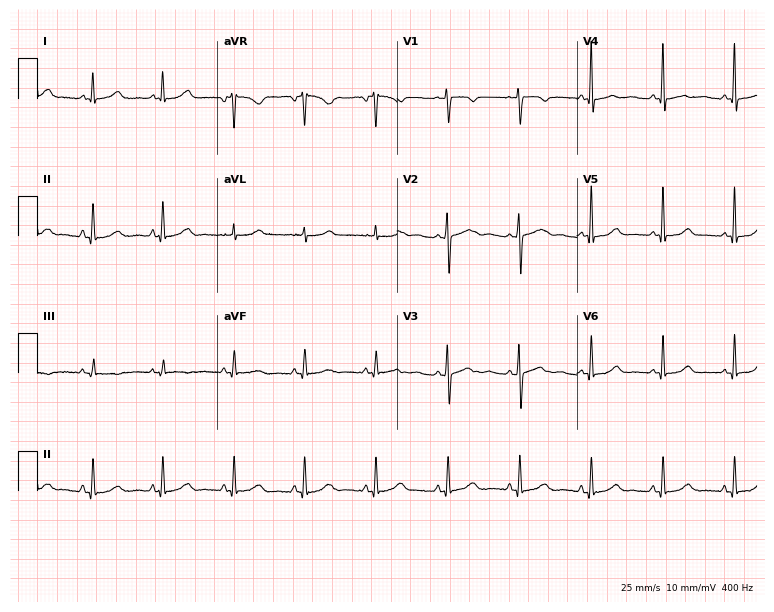
ECG — a female patient, 49 years old. Labelled as a normal ECG.